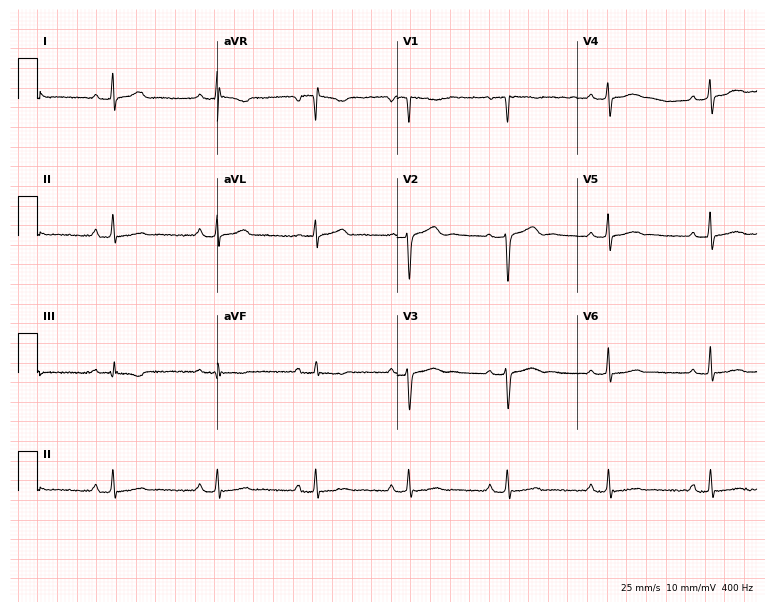
12-lead ECG (7.3-second recording at 400 Hz) from a female patient, 32 years old. Screened for six findings — first-degree AV block, right bundle branch block (RBBB), left bundle branch block (LBBB), sinus bradycardia, atrial fibrillation (AF), sinus tachycardia — none is recorded. Only these six findings were labelled.